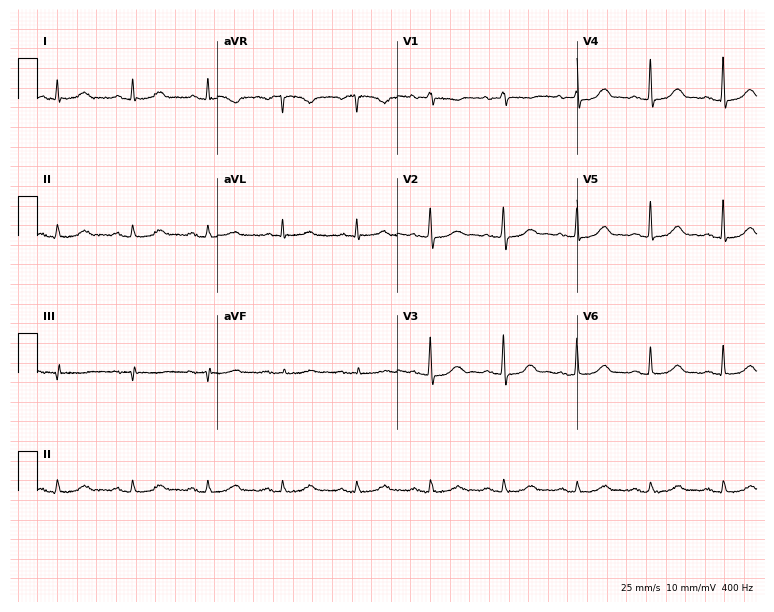
Resting 12-lead electrocardiogram (7.3-second recording at 400 Hz). Patient: a 72-year-old female. None of these six findings is recorded: first-degree AV block, right bundle branch block, left bundle branch block, sinus bradycardia, atrial fibrillation, sinus tachycardia. Findings outside these six are not listed.